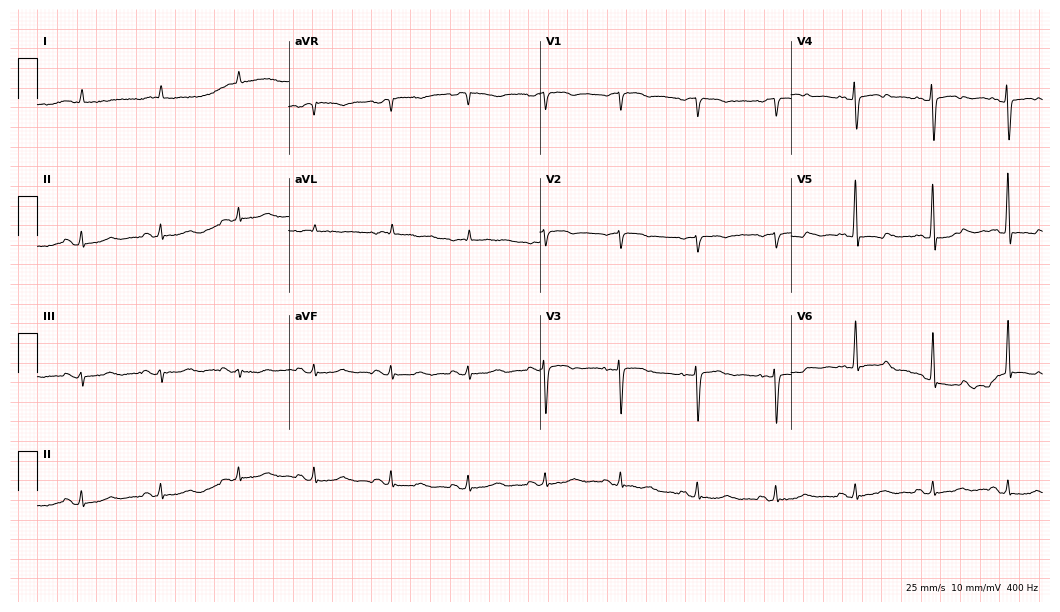
12-lead ECG from a woman, 81 years old (10.2-second recording at 400 Hz). No first-degree AV block, right bundle branch block, left bundle branch block, sinus bradycardia, atrial fibrillation or sinus tachycardia recorded for this tracing.